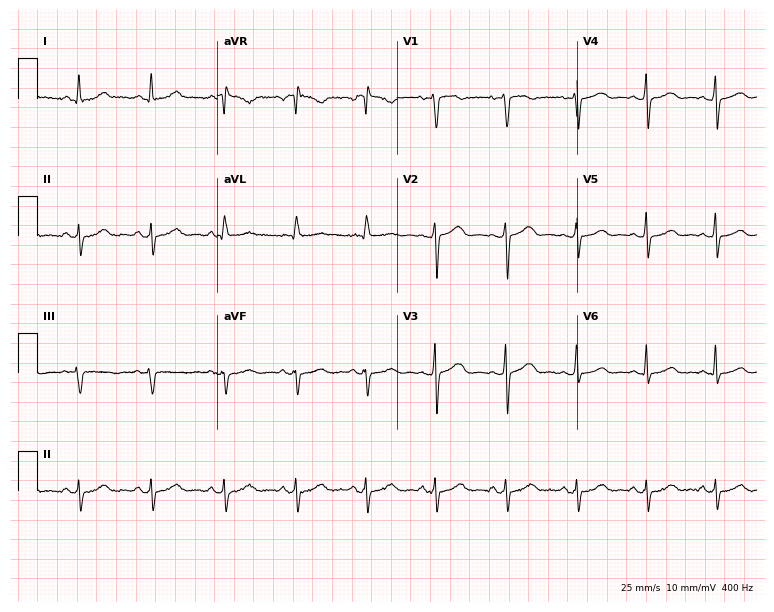
12-lead ECG (7.3-second recording at 400 Hz) from a 42-year-old female patient. Screened for six findings — first-degree AV block, right bundle branch block, left bundle branch block, sinus bradycardia, atrial fibrillation, sinus tachycardia — none is recorded.